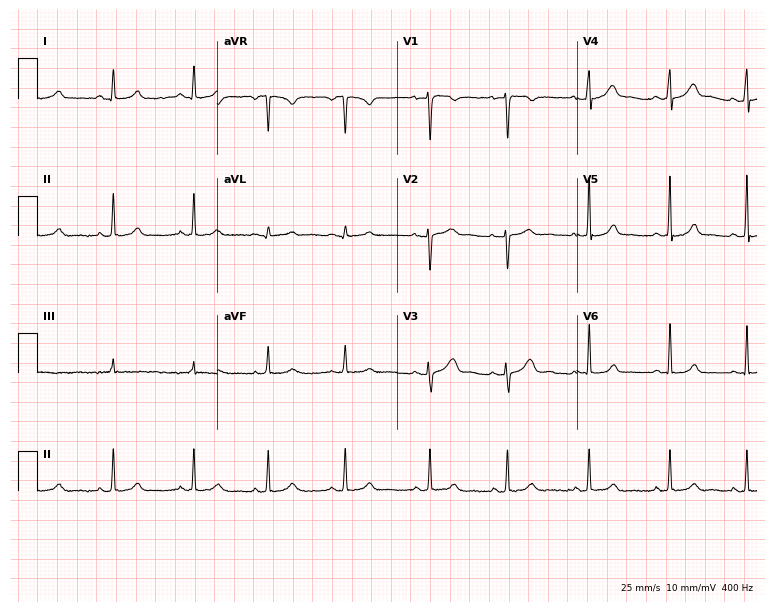
12-lead ECG from a 23-year-old woman. Labelled as a normal ECG.